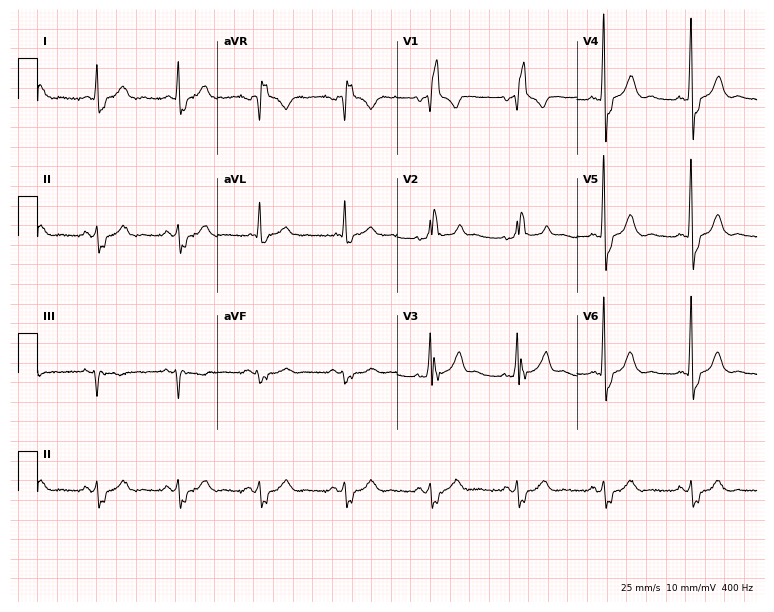
Standard 12-lead ECG recorded from a 66-year-old male patient (7.3-second recording at 400 Hz). The tracing shows right bundle branch block (RBBB).